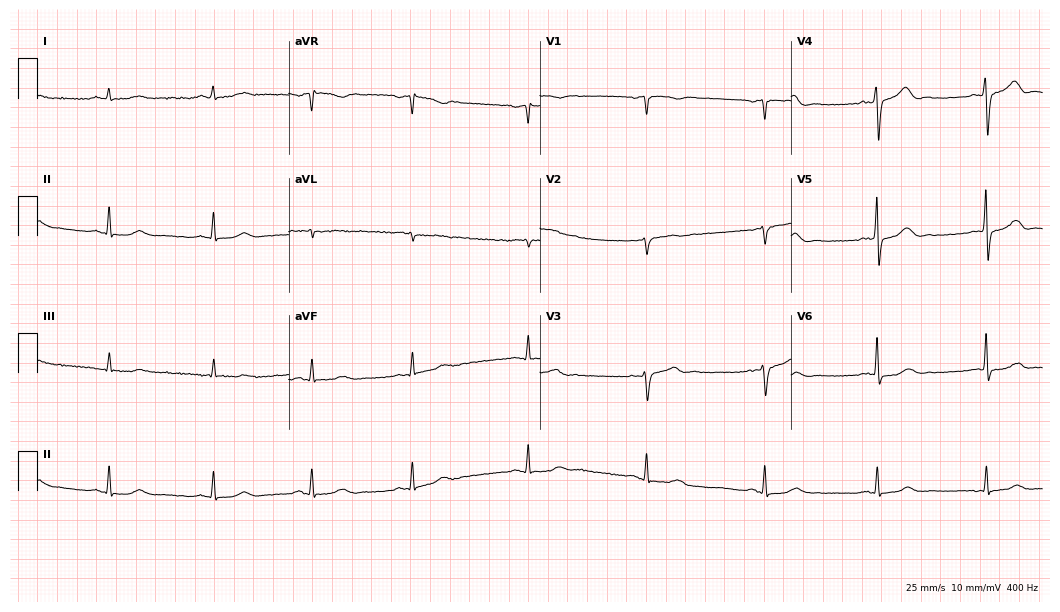
12-lead ECG from a 64-year-old male patient (10.2-second recording at 400 Hz). Recorded interpretation: within normal limits.